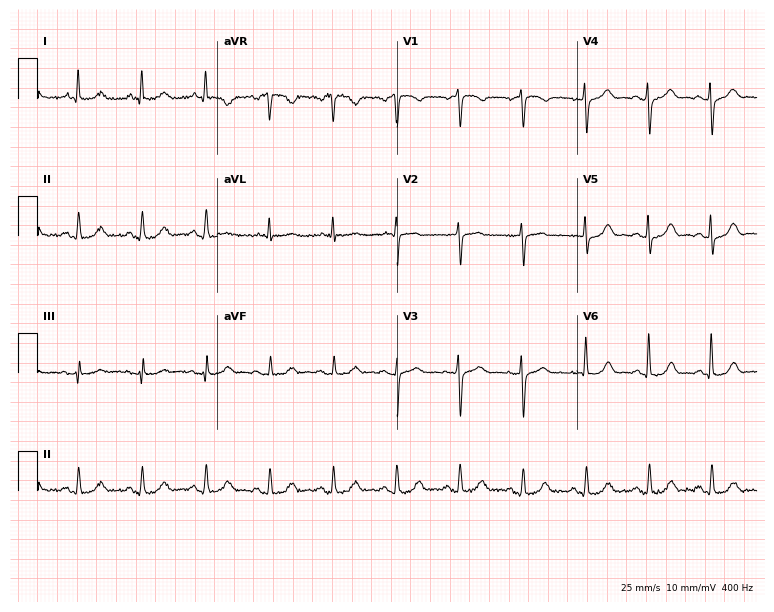
12-lead ECG from a female, 77 years old (7.3-second recording at 400 Hz). Recorded interpretation: within normal limits.